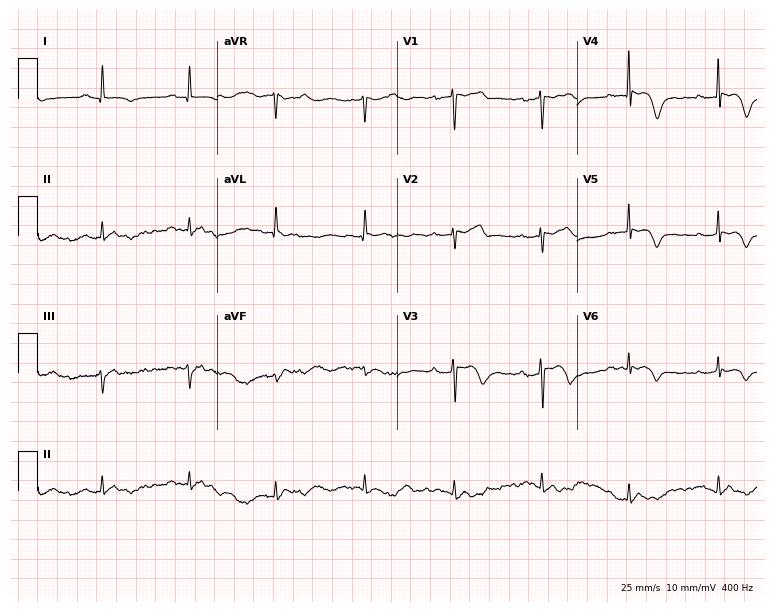
Standard 12-lead ECG recorded from a female, 83 years old. None of these six findings is recorded: first-degree AV block, right bundle branch block (RBBB), left bundle branch block (LBBB), sinus bradycardia, atrial fibrillation (AF), sinus tachycardia. Other findings, if any, are not listed.